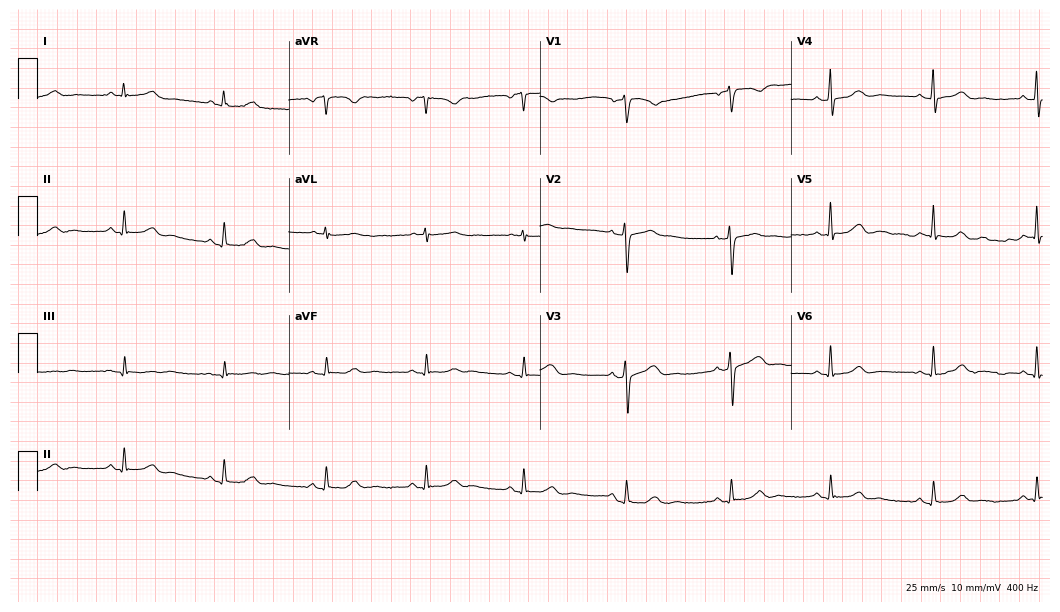
ECG (10.2-second recording at 400 Hz) — a female, 44 years old. Labelled as a normal ECG.